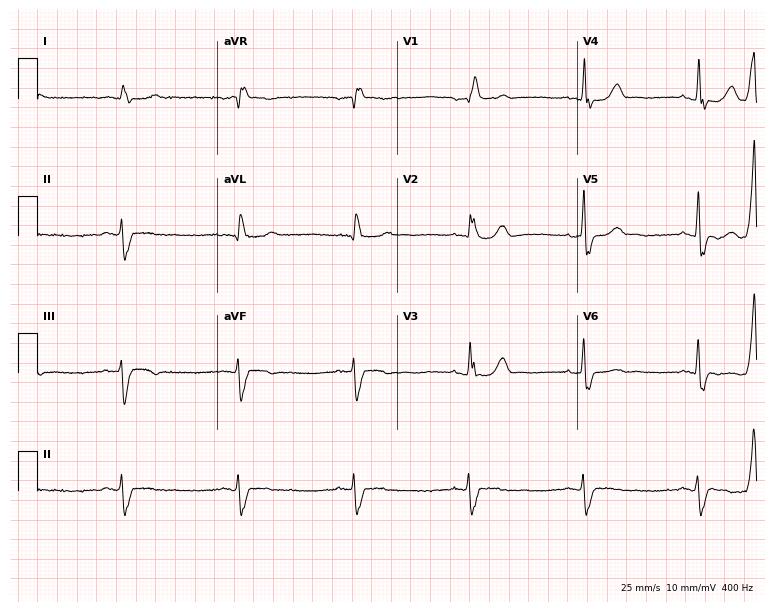
Resting 12-lead electrocardiogram. Patient: a male, 71 years old. The tracing shows right bundle branch block.